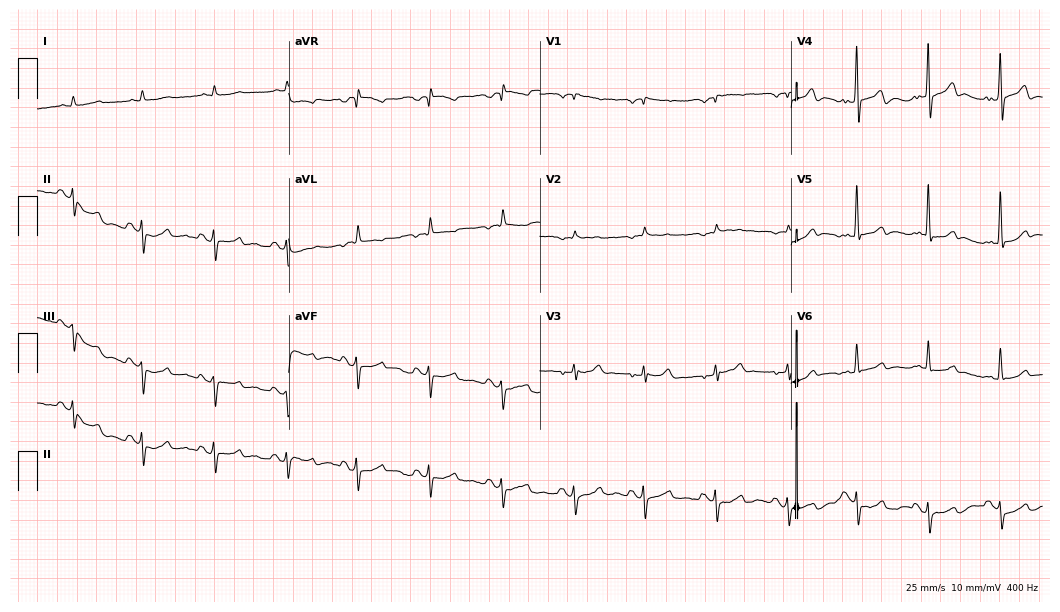
Standard 12-lead ECG recorded from a male, 75 years old (10.2-second recording at 400 Hz). None of these six findings is recorded: first-degree AV block, right bundle branch block, left bundle branch block, sinus bradycardia, atrial fibrillation, sinus tachycardia. Other findings, if any, are not listed.